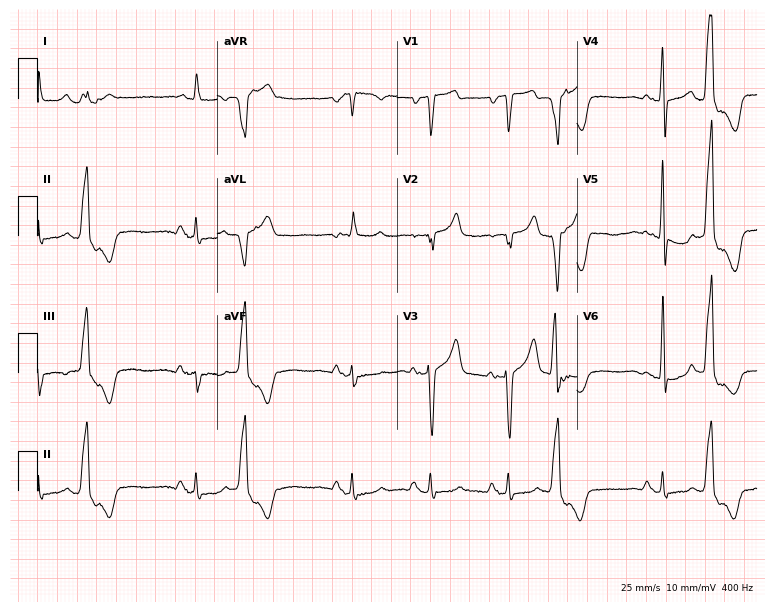
12-lead ECG from a 64-year-old male (7.3-second recording at 400 Hz). No first-degree AV block, right bundle branch block, left bundle branch block, sinus bradycardia, atrial fibrillation or sinus tachycardia recorded for this tracing. Other findings, if any, are not listed.